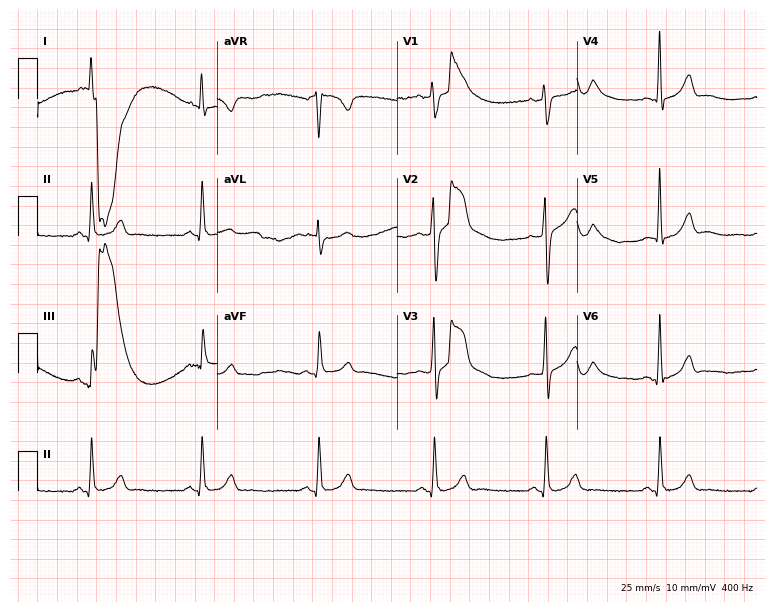
Resting 12-lead electrocardiogram. Patient: a male, 65 years old. Read as a normal ECG.